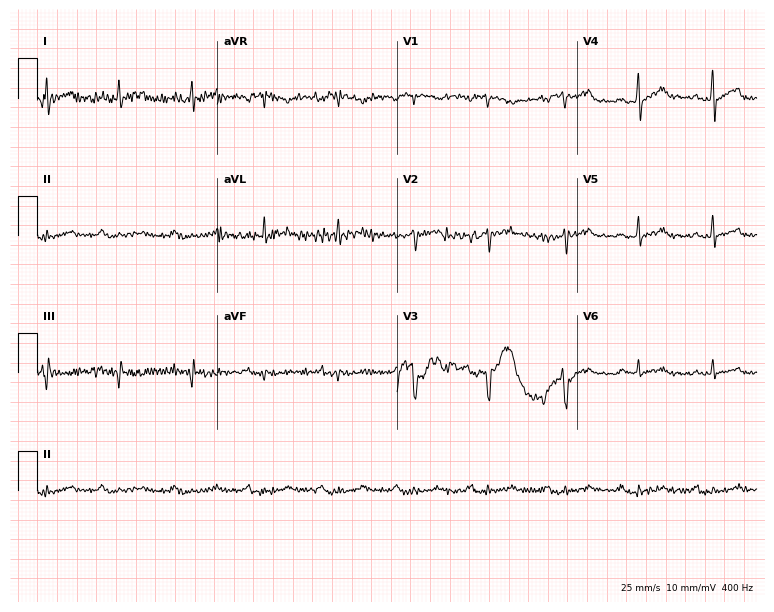
12-lead ECG (7.3-second recording at 400 Hz) from a 60-year-old male. Screened for six findings — first-degree AV block, right bundle branch block, left bundle branch block, sinus bradycardia, atrial fibrillation, sinus tachycardia — none is recorded.